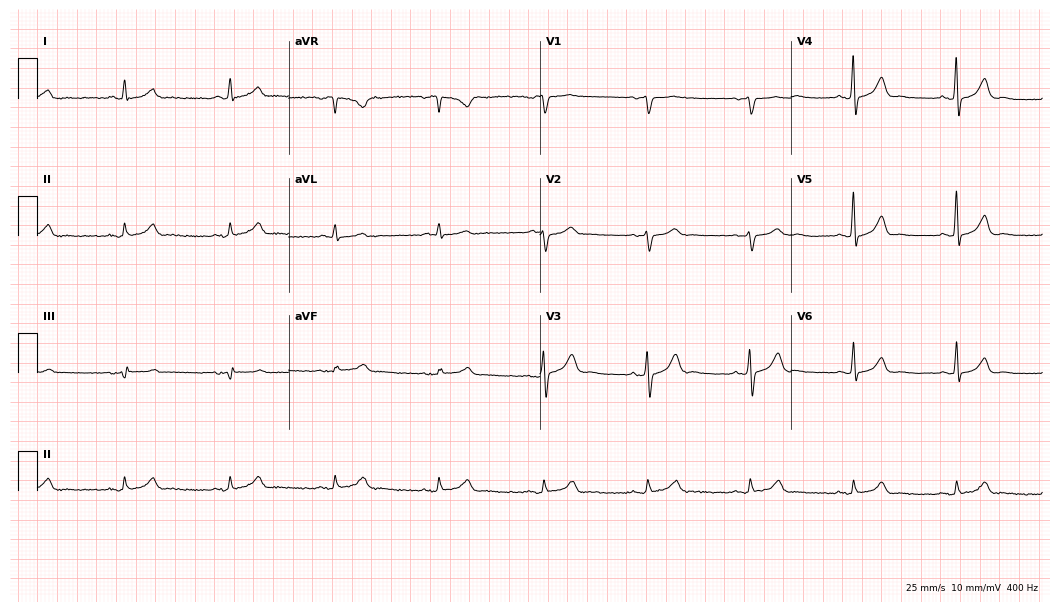
ECG (10.2-second recording at 400 Hz) — a 59-year-old male. Labelled as a normal ECG.